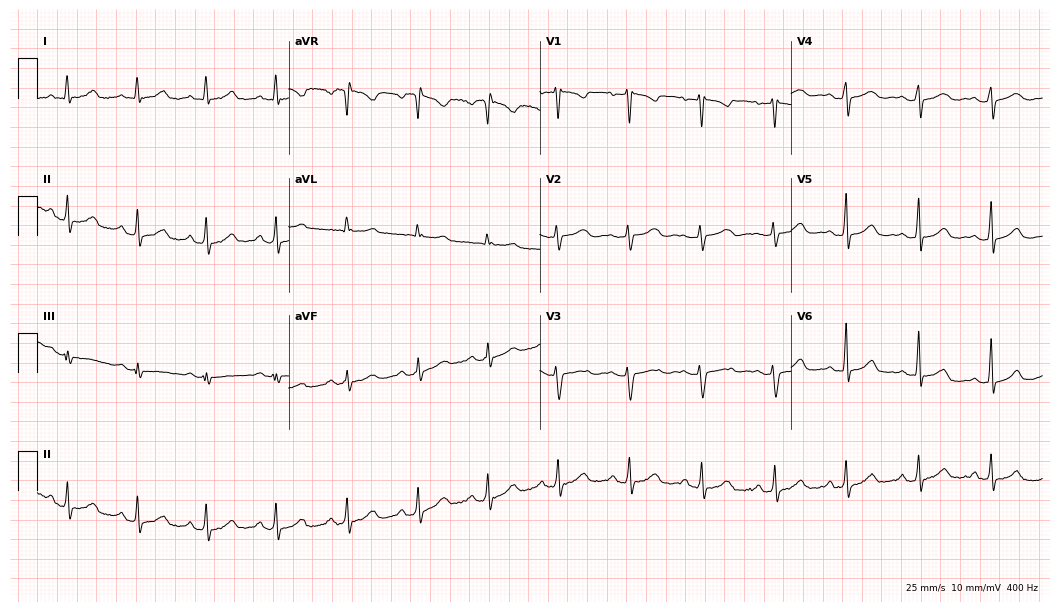
Resting 12-lead electrocardiogram (10.2-second recording at 400 Hz). Patient: a 71-year-old female. Read as a normal ECG.